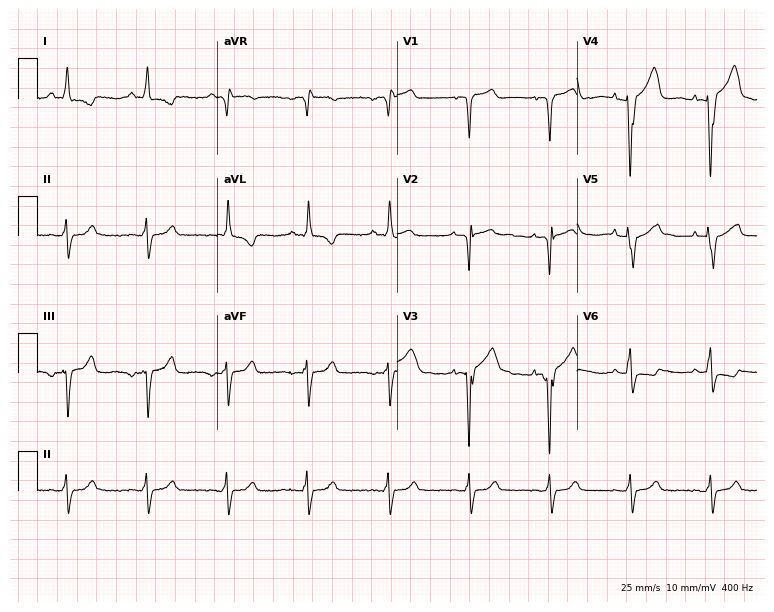
ECG — an 84-year-old man. Screened for six findings — first-degree AV block, right bundle branch block, left bundle branch block, sinus bradycardia, atrial fibrillation, sinus tachycardia — none is recorded. Only these six findings were labelled.